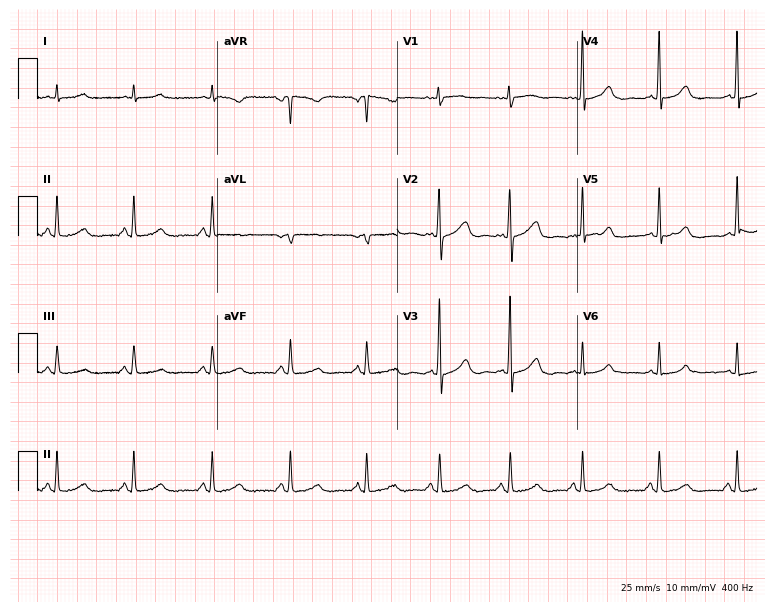
ECG (7.3-second recording at 400 Hz) — a 58-year-old female. Screened for six findings — first-degree AV block, right bundle branch block (RBBB), left bundle branch block (LBBB), sinus bradycardia, atrial fibrillation (AF), sinus tachycardia — none is recorded.